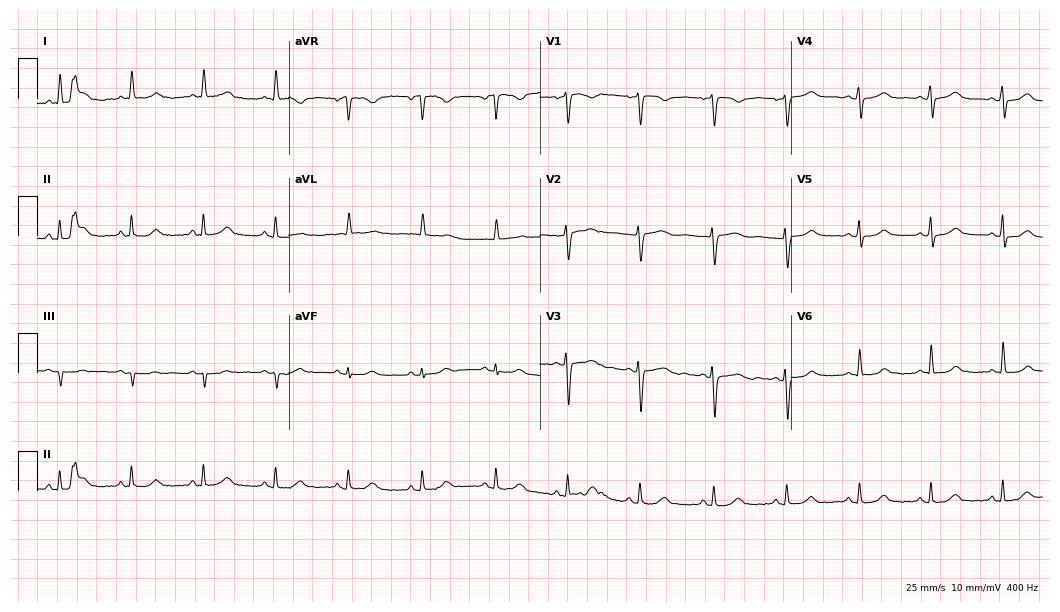
Standard 12-lead ECG recorded from a woman, 43 years old (10.2-second recording at 400 Hz). Read as a normal ECG.